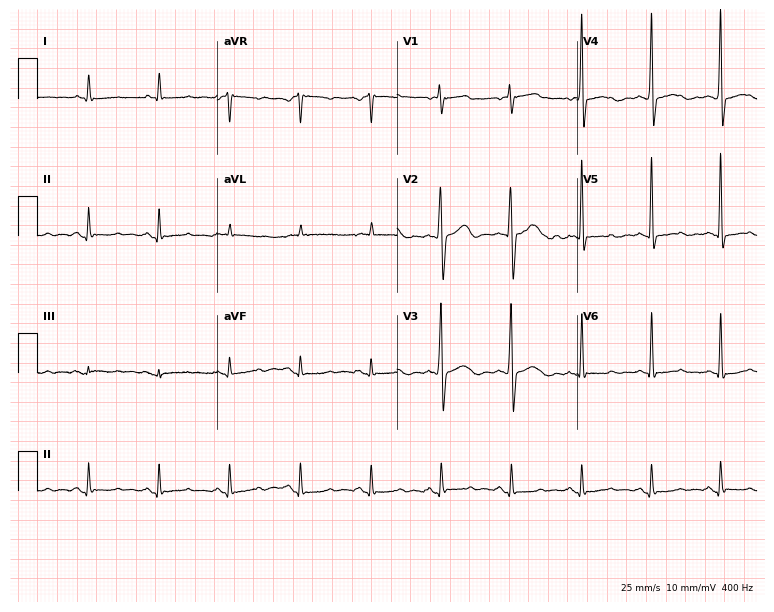
ECG (7.3-second recording at 400 Hz) — a male, 83 years old. Screened for six findings — first-degree AV block, right bundle branch block, left bundle branch block, sinus bradycardia, atrial fibrillation, sinus tachycardia — none is recorded. Only these six findings were labelled.